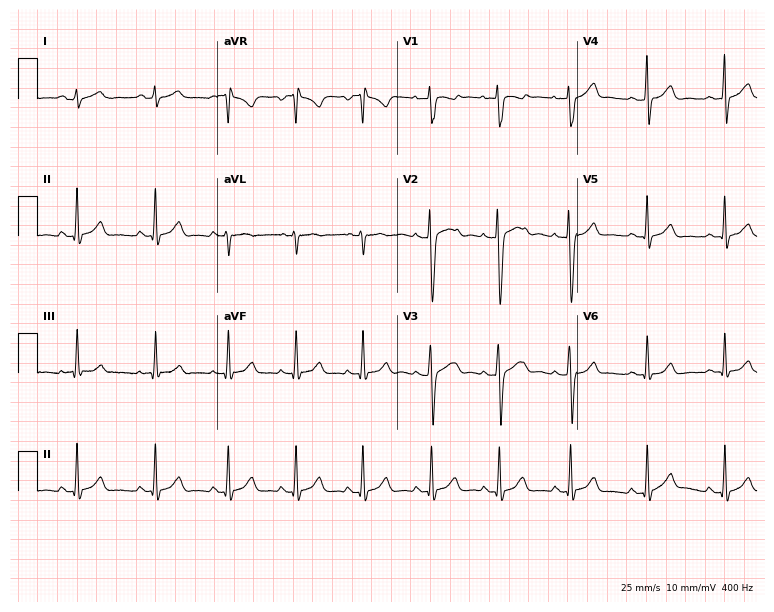
12-lead ECG from a female, 27 years old. No first-degree AV block, right bundle branch block (RBBB), left bundle branch block (LBBB), sinus bradycardia, atrial fibrillation (AF) or sinus tachycardia recorded for this tracing. Other findings, if any, are not listed.